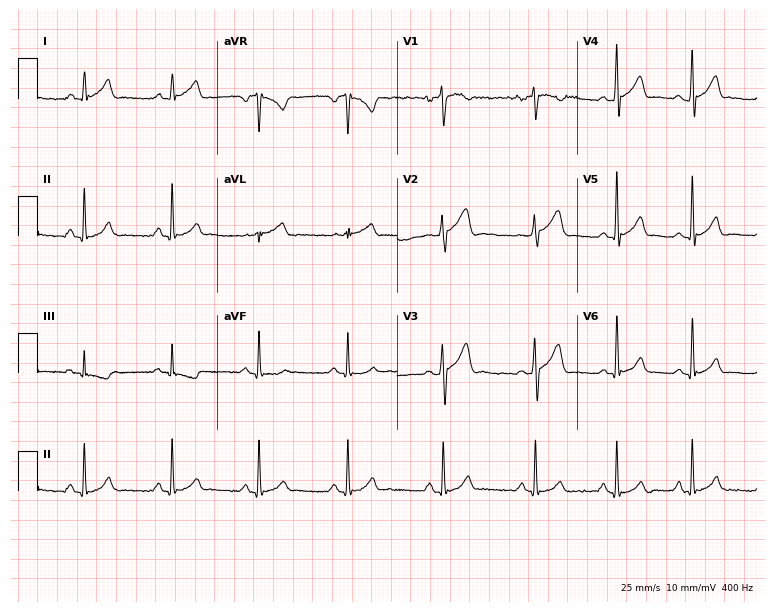
Electrocardiogram (7.3-second recording at 400 Hz), a 20-year-old man. Of the six screened findings (first-degree AV block, right bundle branch block, left bundle branch block, sinus bradycardia, atrial fibrillation, sinus tachycardia), none is recorded. Only these six findings were labelled.